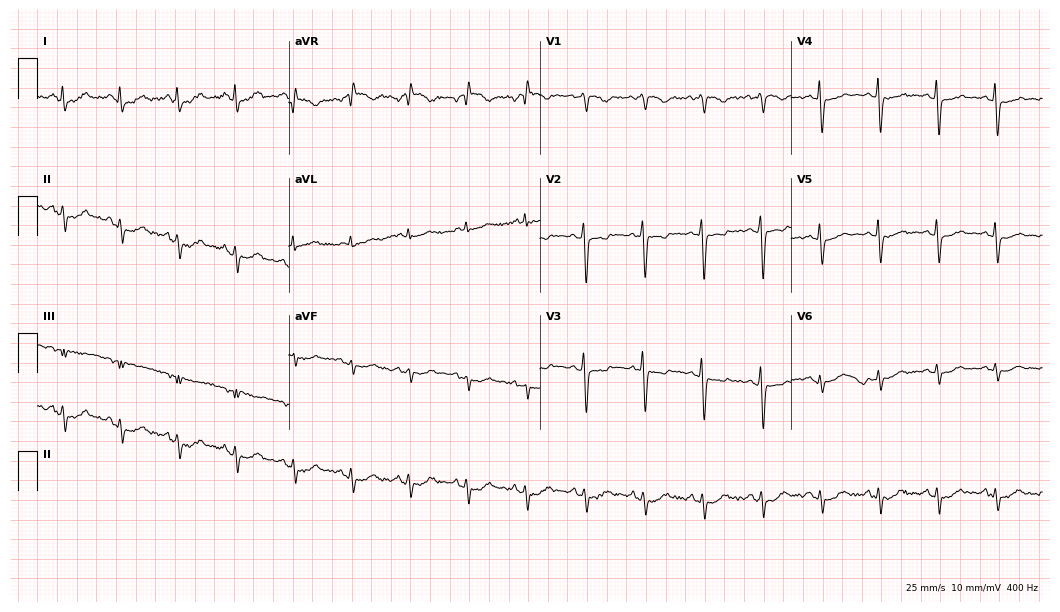
Standard 12-lead ECG recorded from a 60-year-old female (10.2-second recording at 400 Hz). None of these six findings is recorded: first-degree AV block, right bundle branch block, left bundle branch block, sinus bradycardia, atrial fibrillation, sinus tachycardia.